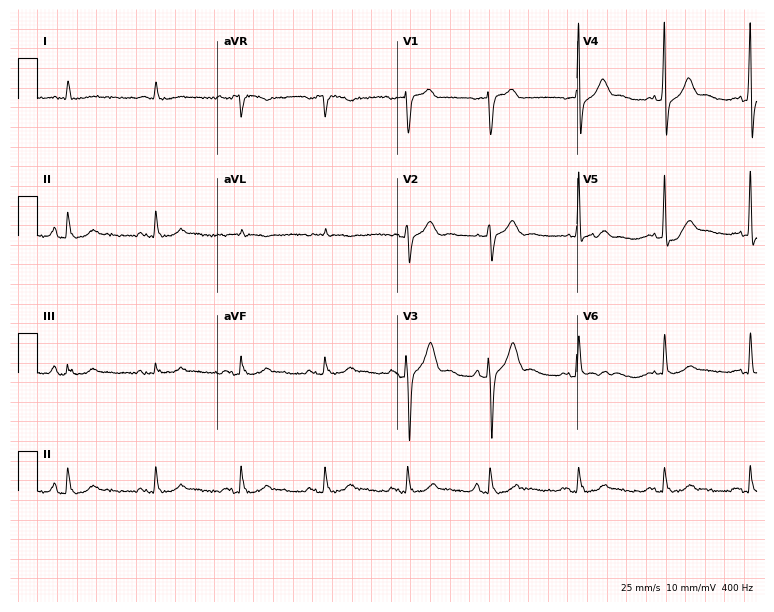
Standard 12-lead ECG recorded from a man, 82 years old (7.3-second recording at 400 Hz). None of these six findings is recorded: first-degree AV block, right bundle branch block (RBBB), left bundle branch block (LBBB), sinus bradycardia, atrial fibrillation (AF), sinus tachycardia. Other findings, if any, are not listed.